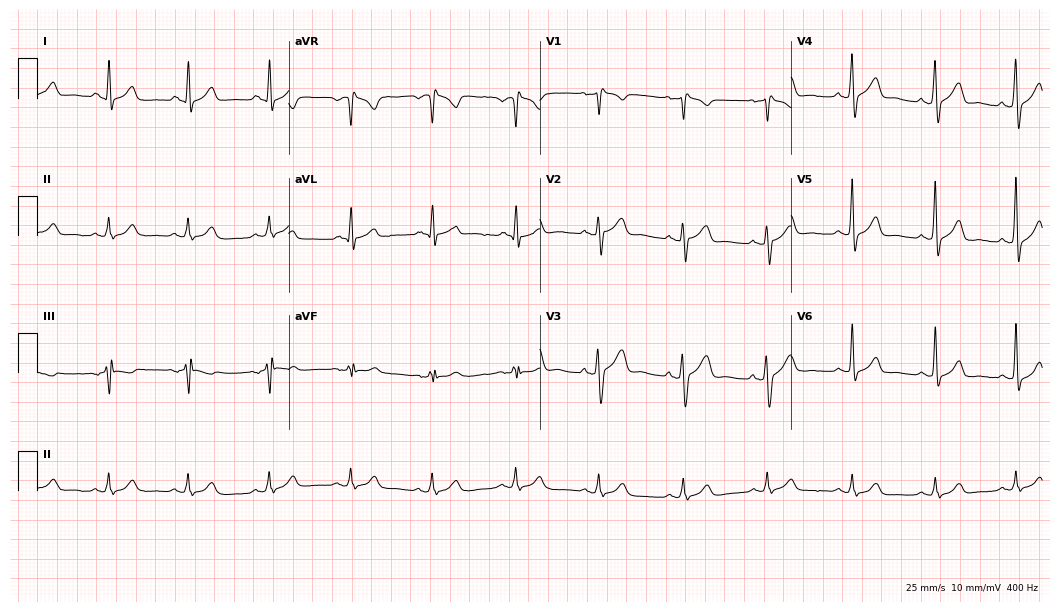
ECG (10.2-second recording at 400 Hz) — a male, 46 years old. Labelled as a normal ECG.